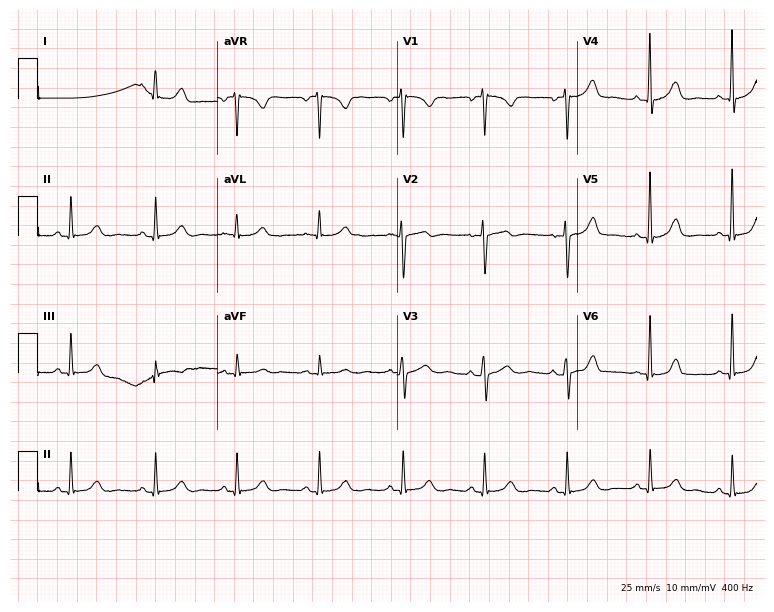
Resting 12-lead electrocardiogram (7.3-second recording at 400 Hz). Patient: a female, 45 years old. None of these six findings is recorded: first-degree AV block, right bundle branch block (RBBB), left bundle branch block (LBBB), sinus bradycardia, atrial fibrillation (AF), sinus tachycardia.